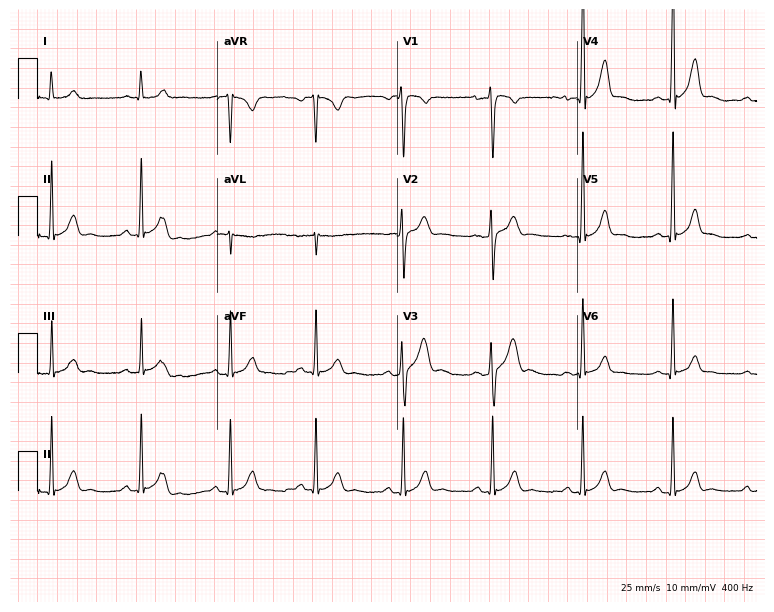
Resting 12-lead electrocardiogram. Patient: a 21-year-old man. Read as a normal ECG.